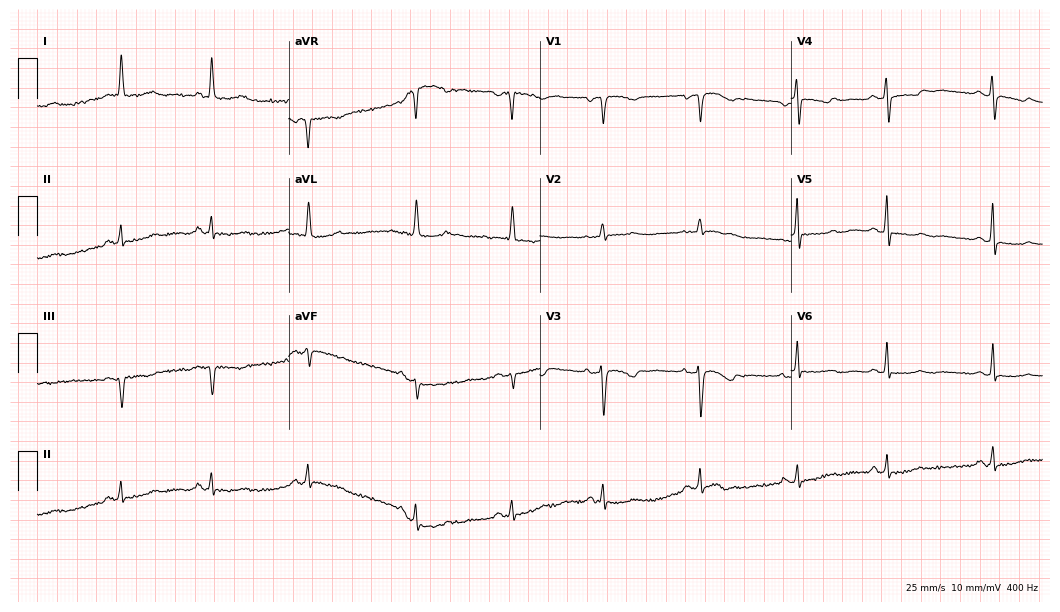
ECG (10.2-second recording at 400 Hz) — a female patient, 74 years old. Screened for six findings — first-degree AV block, right bundle branch block, left bundle branch block, sinus bradycardia, atrial fibrillation, sinus tachycardia — none is recorded.